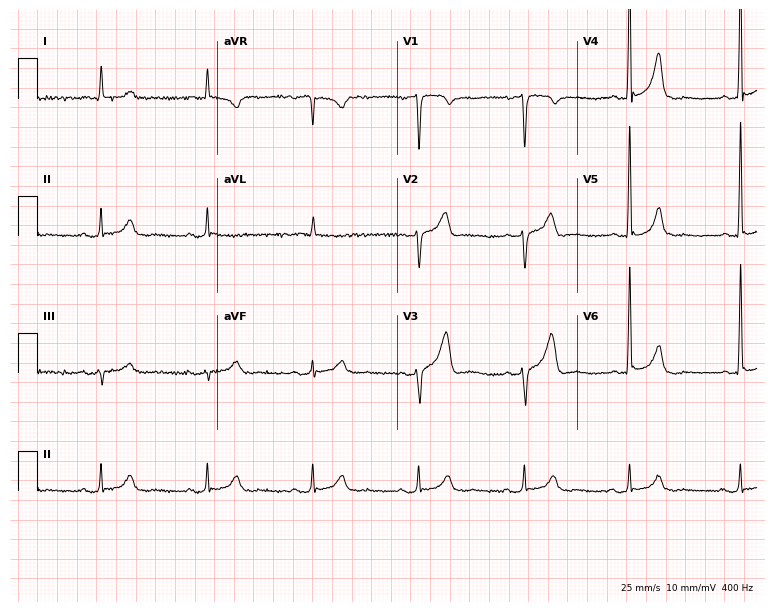
12-lead ECG from a 65-year-old male. No first-degree AV block, right bundle branch block, left bundle branch block, sinus bradycardia, atrial fibrillation or sinus tachycardia recorded for this tracing. Findings outside these six are not listed.